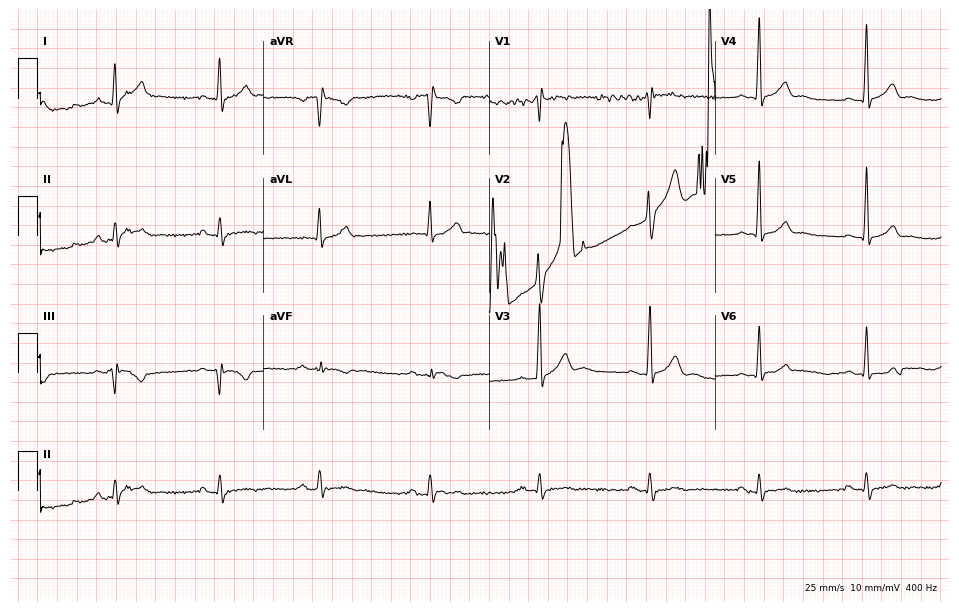
Resting 12-lead electrocardiogram (9.2-second recording at 400 Hz). Patient: a man, 36 years old. None of these six findings is recorded: first-degree AV block, right bundle branch block, left bundle branch block, sinus bradycardia, atrial fibrillation, sinus tachycardia. Only these six findings were labelled.